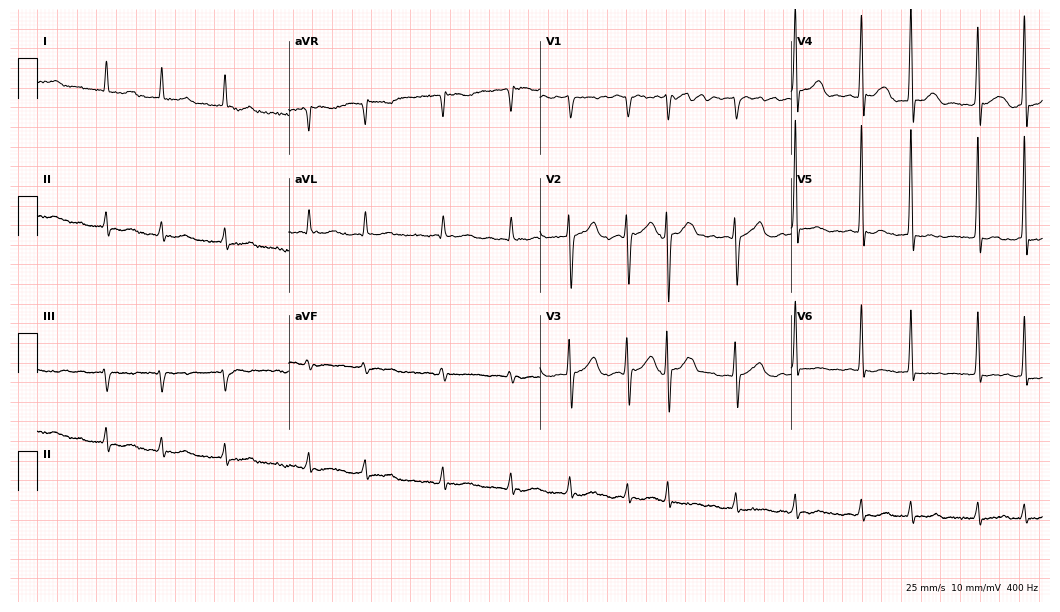
Resting 12-lead electrocardiogram (10.2-second recording at 400 Hz). Patient: a 76-year-old man. The tracing shows atrial fibrillation.